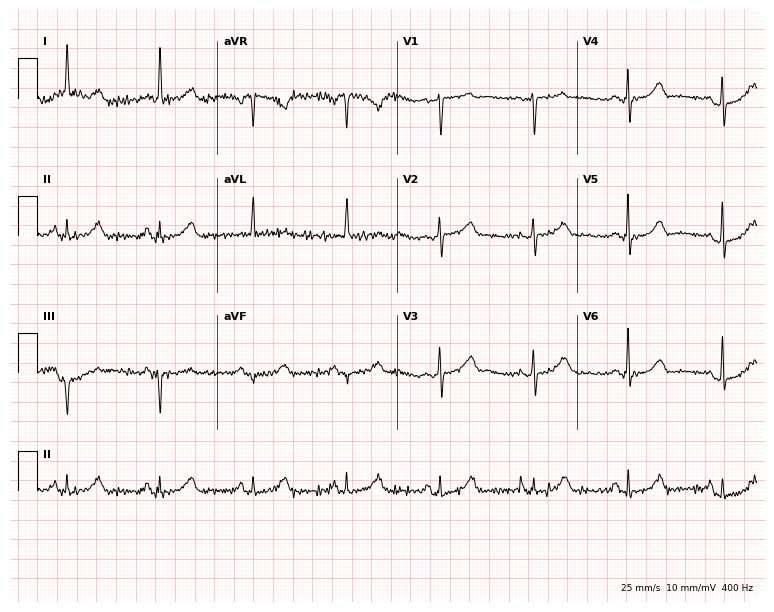
12-lead ECG from a female, 82 years old. Screened for six findings — first-degree AV block, right bundle branch block, left bundle branch block, sinus bradycardia, atrial fibrillation, sinus tachycardia — none is recorded. Findings outside these six are not listed.